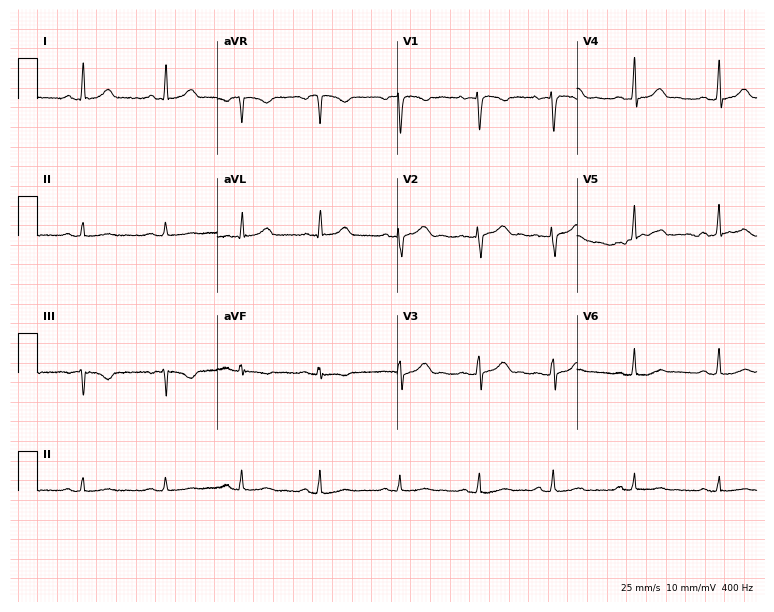
12-lead ECG from a 37-year-old female. Recorded interpretation: within normal limits.